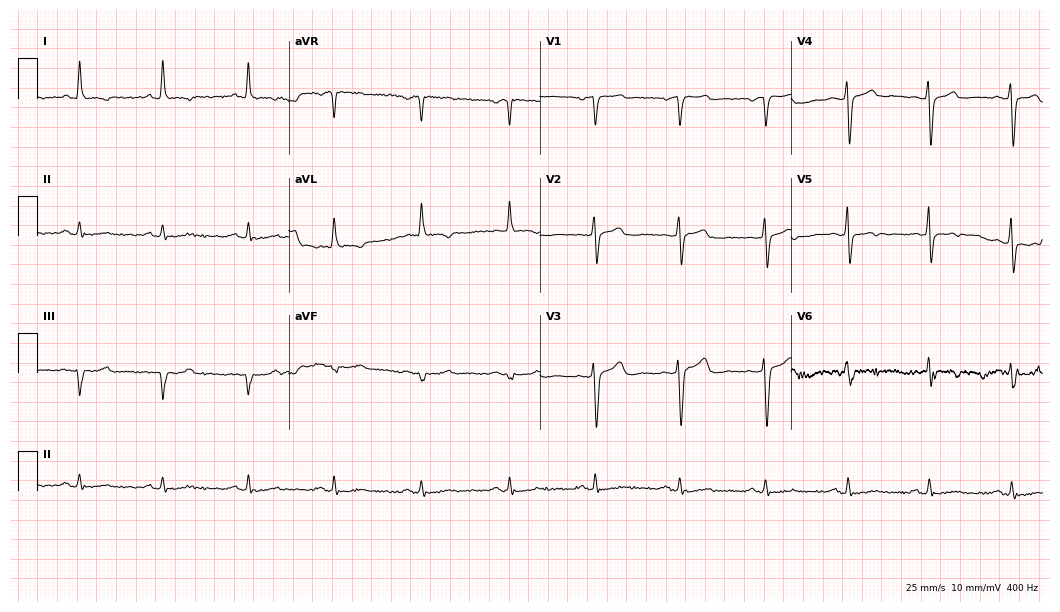
Resting 12-lead electrocardiogram. Patient: a male, 59 years old. None of these six findings is recorded: first-degree AV block, right bundle branch block (RBBB), left bundle branch block (LBBB), sinus bradycardia, atrial fibrillation (AF), sinus tachycardia.